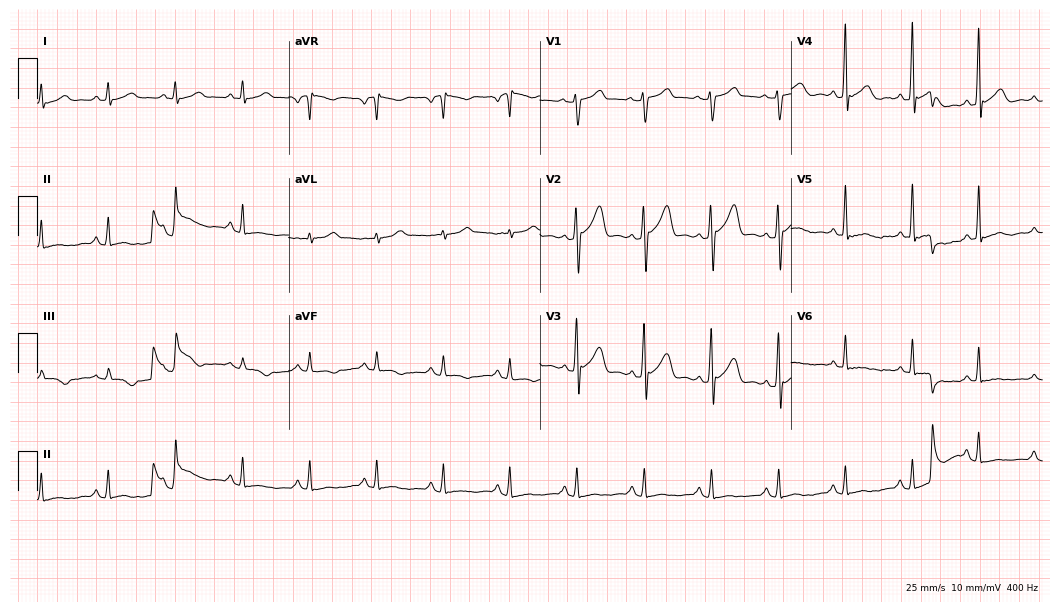
Standard 12-lead ECG recorded from a man, 50 years old (10.2-second recording at 400 Hz). None of these six findings is recorded: first-degree AV block, right bundle branch block, left bundle branch block, sinus bradycardia, atrial fibrillation, sinus tachycardia. Findings outside these six are not listed.